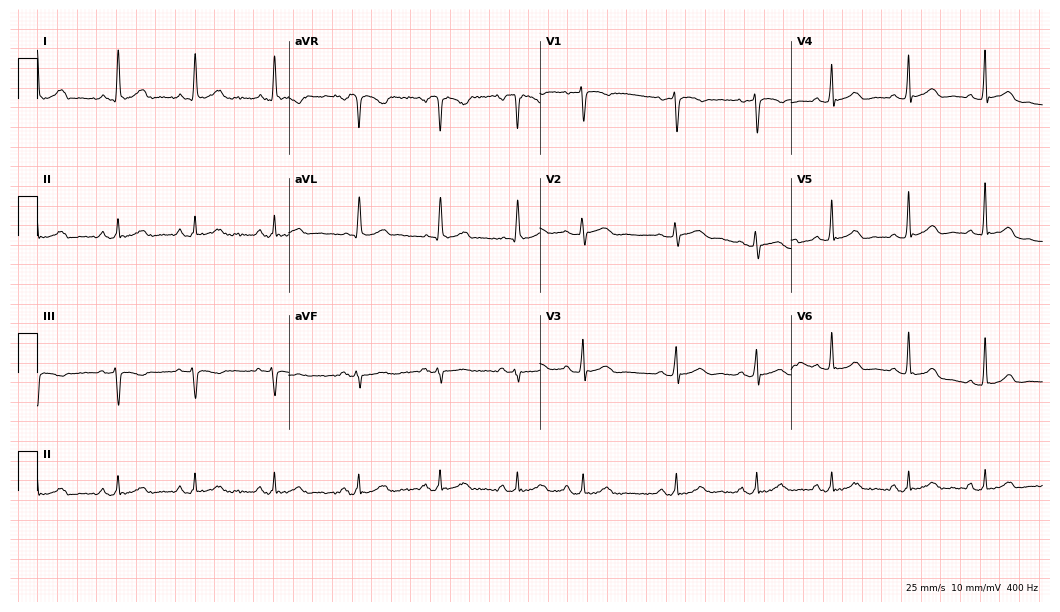
Resting 12-lead electrocardiogram (10.2-second recording at 400 Hz). Patient: a female, 61 years old. Read as a normal ECG.